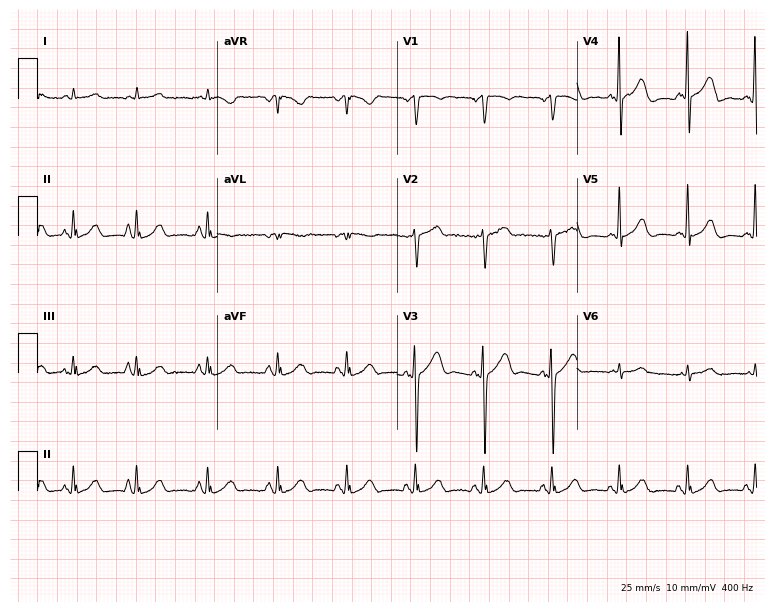
Standard 12-lead ECG recorded from an 80-year-old female. None of these six findings is recorded: first-degree AV block, right bundle branch block (RBBB), left bundle branch block (LBBB), sinus bradycardia, atrial fibrillation (AF), sinus tachycardia.